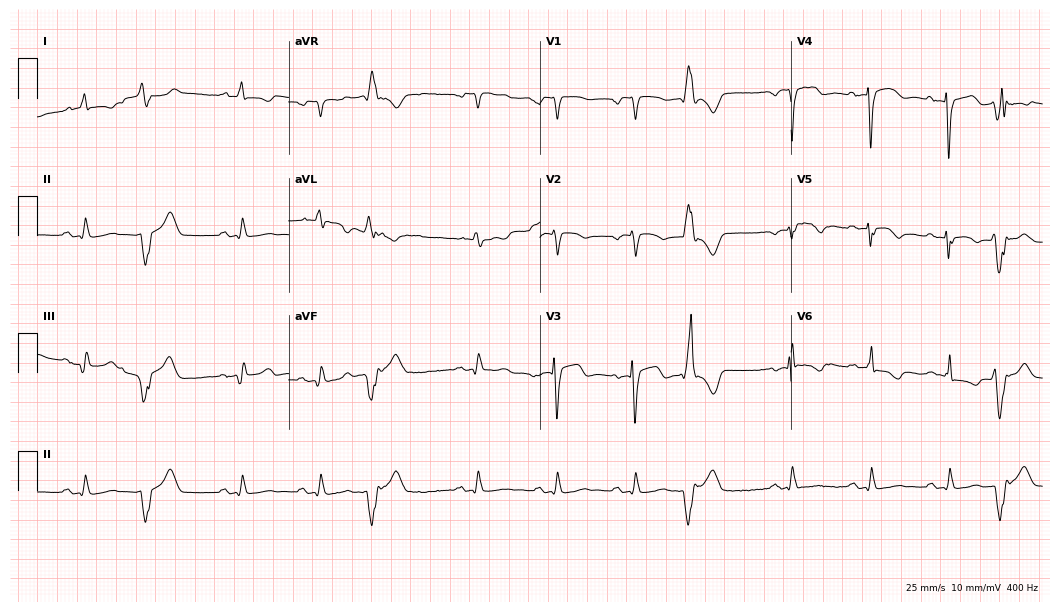
12-lead ECG from an 80-year-old male patient (10.2-second recording at 400 Hz). No first-degree AV block, right bundle branch block, left bundle branch block, sinus bradycardia, atrial fibrillation or sinus tachycardia recorded for this tracing. Findings outside these six are not listed.